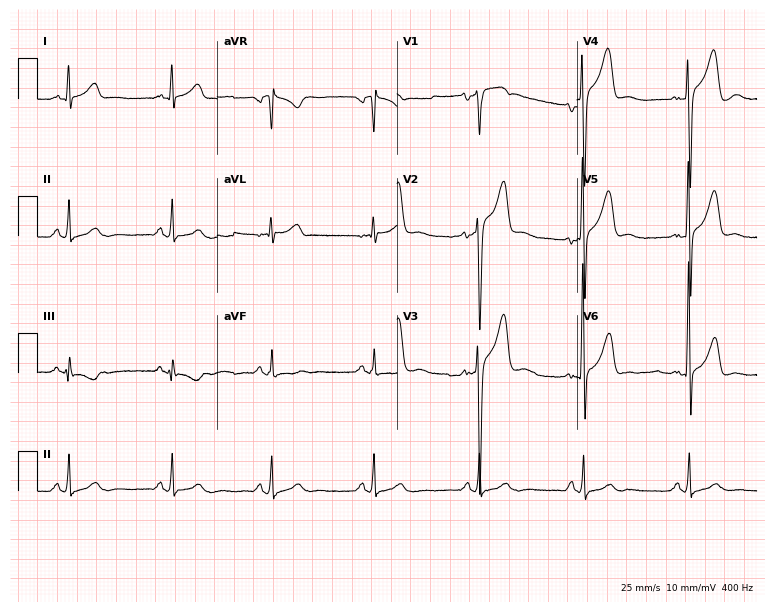
12-lead ECG from a 53-year-old male patient (7.3-second recording at 400 Hz). No first-degree AV block, right bundle branch block, left bundle branch block, sinus bradycardia, atrial fibrillation or sinus tachycardia recorded for this tracing. Only these six findings were labelled.